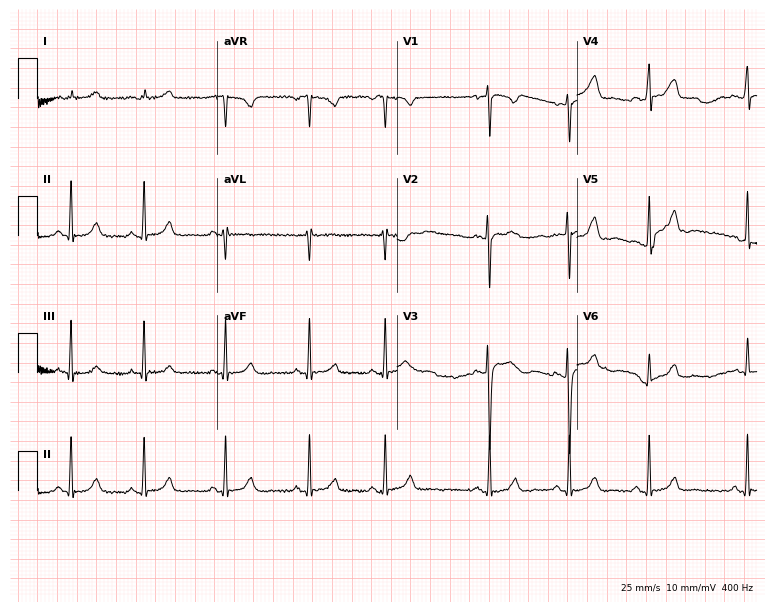
ECG (7.3-second recording at 400 Hz) — a woman, 17 years old. Screened for six findings — first-degree AV block, right bundle branch block, left bundle branch block, sinus bradycardia, atrial fibrillation, sinus tachycardia — none is recorded. Other findings, if any, are not listed.